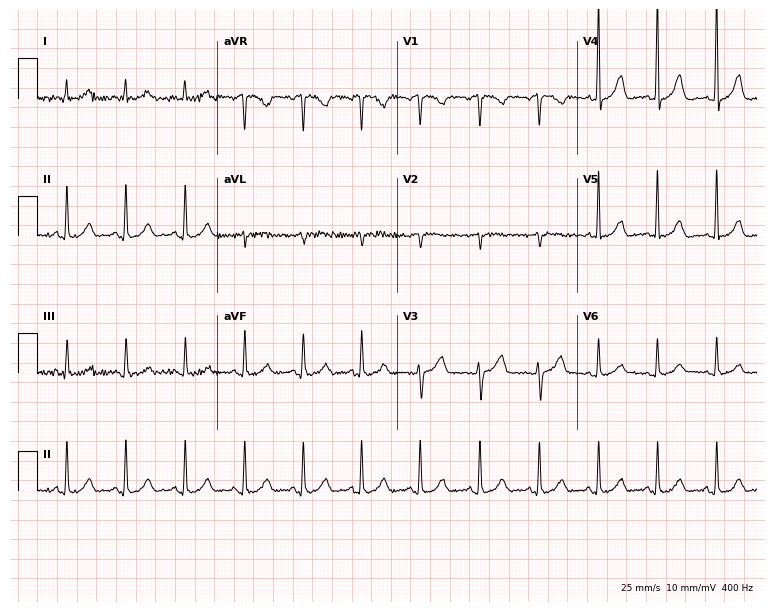
Electrocardiogram (7.3-second recording at 400 Hz), an 82-year-old woman. Overall reading on record: normal ECG.